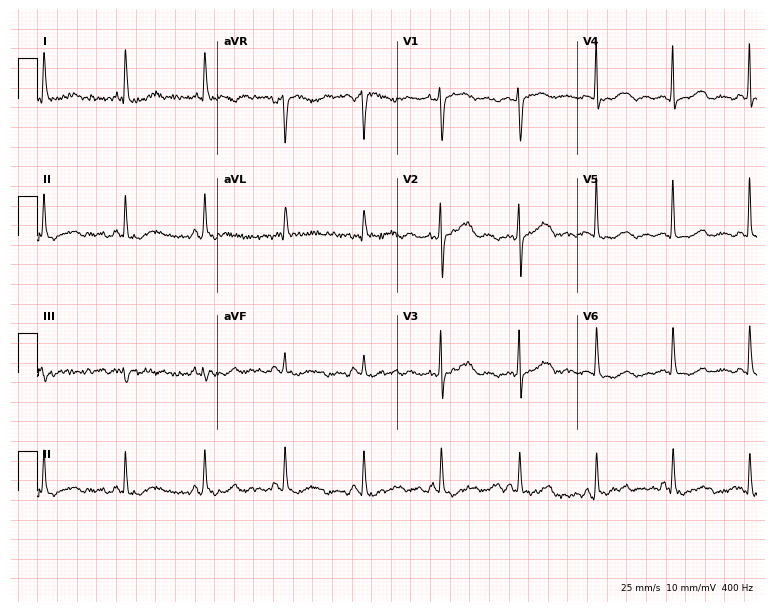
12-lead ECG from a female patient, 66 years old. Screened for six findings — first-degree AV block, right bundle branch block, left bundle branch block, sinus bradycardia, atrial fibrillation, sinus tachycardia — none is recorded. Only these six findings were labelled.